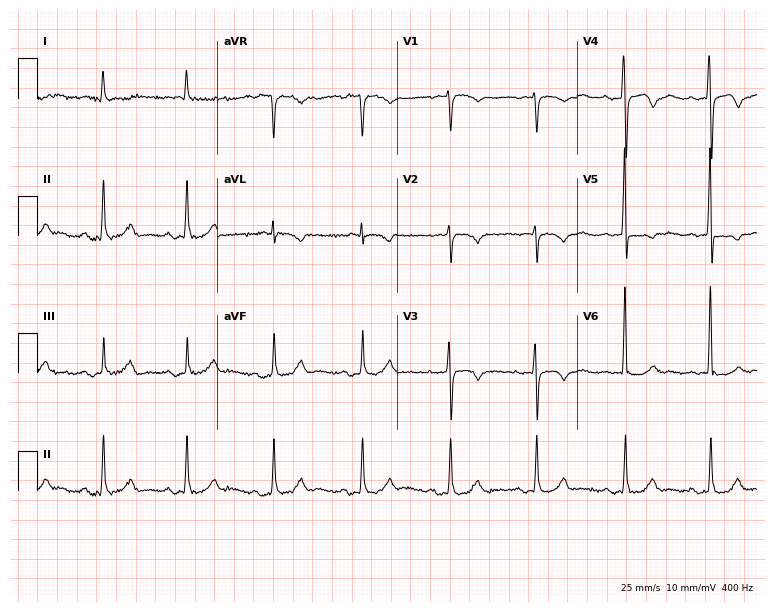
Resting 12-lead electrocardiogram. Patient: a woman, 71 years old. The tracing shows atrial fibrillation (AF).